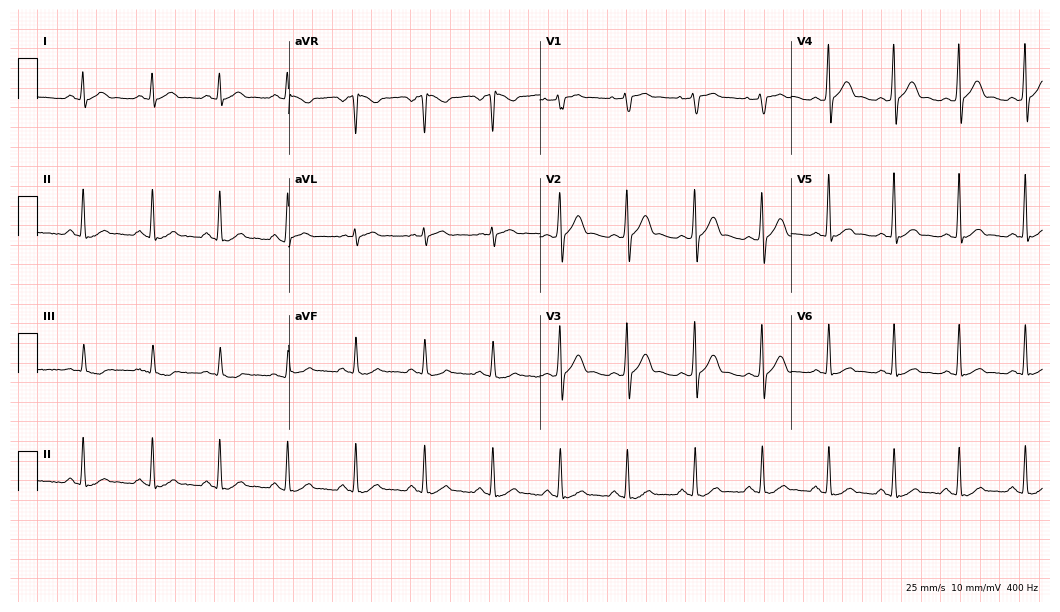
Electrocardiogram (10.2-second recording at 400 Hz), a 45-year-old man. Overall reading on record: normal ECG.